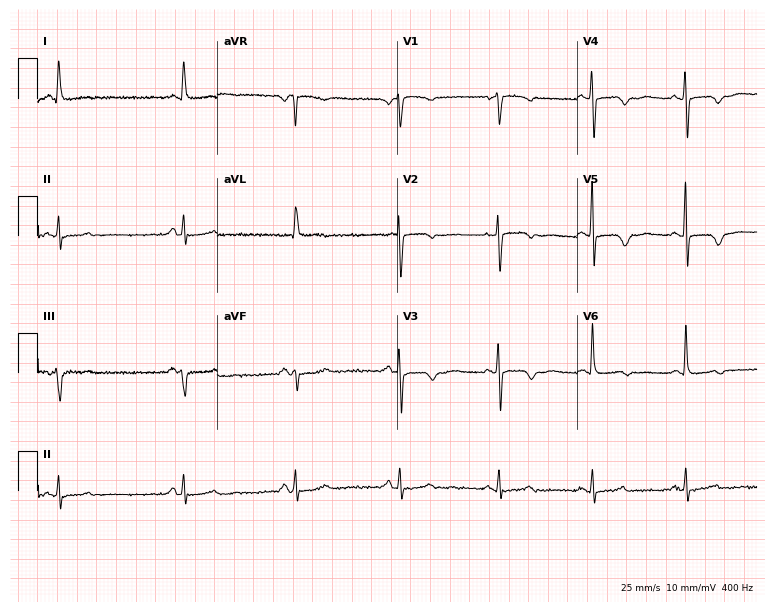
ECG (7.3-second recording at 400 Hz) — an 81-year-old female. Screened for six findings — first-degree AV block, right bundle branch block, left bundle branch block, sinus bradycardia, atrial fibrillation, sinus tachycardia — none is recorded.